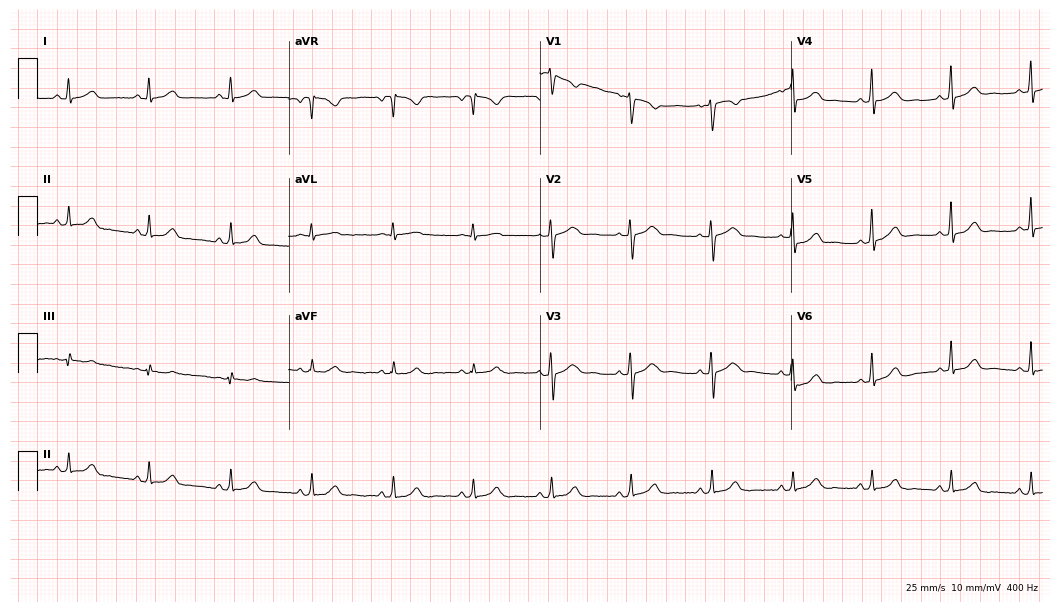
12-lead ECG (10.2-second recording at 400 Hz) from a 40-year-old female patient. Labelled as a normal ECG.